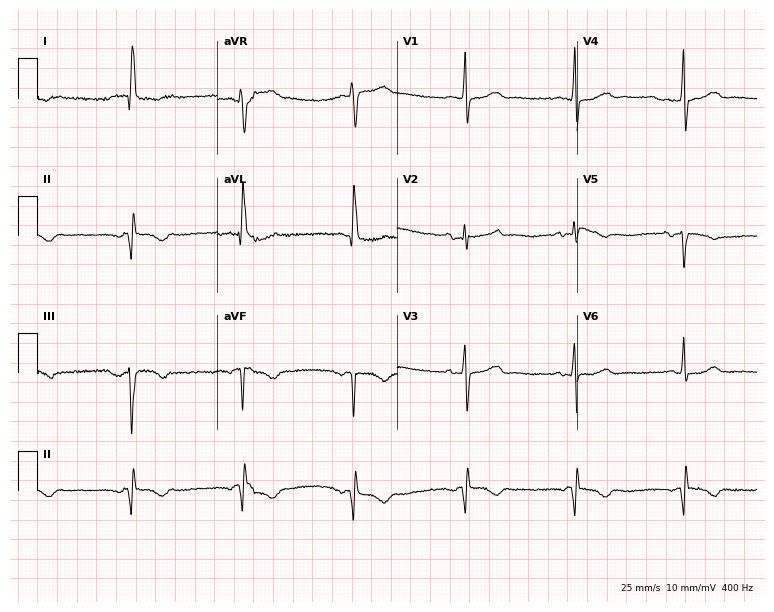
ECG — a 71-year-old female patient. Screened for six findings — first-degree AV block, right bundle branch block, left bundle branch block, sinus bradycardia, atrial fibrillation, sinus tachycardia — none is recorded.